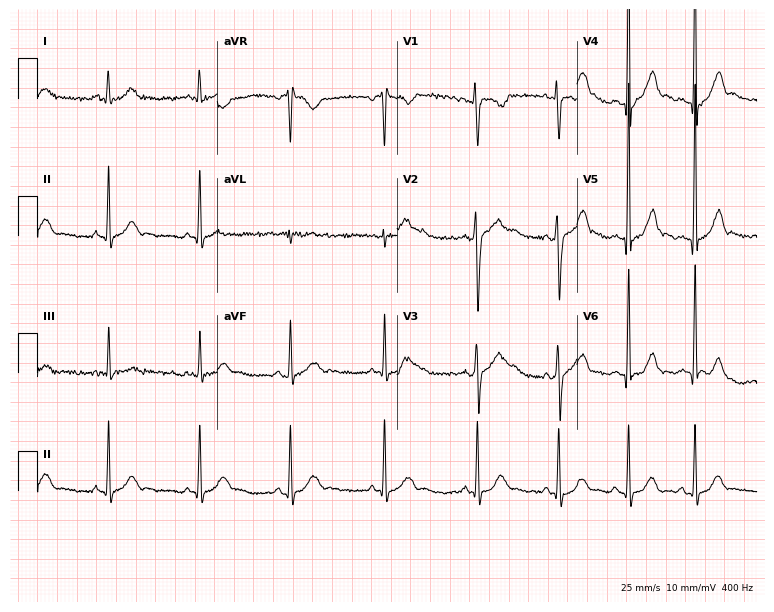
Electrocardiogram (7.3-second recording at 400 Hz), an 18-year-old male patient. Of the six screened findings (first-degree AV block, right bundle branch block, left bundle branch block, sinus bradycardia, atrial fibrillation, sinus tachycardia), none is recorded.